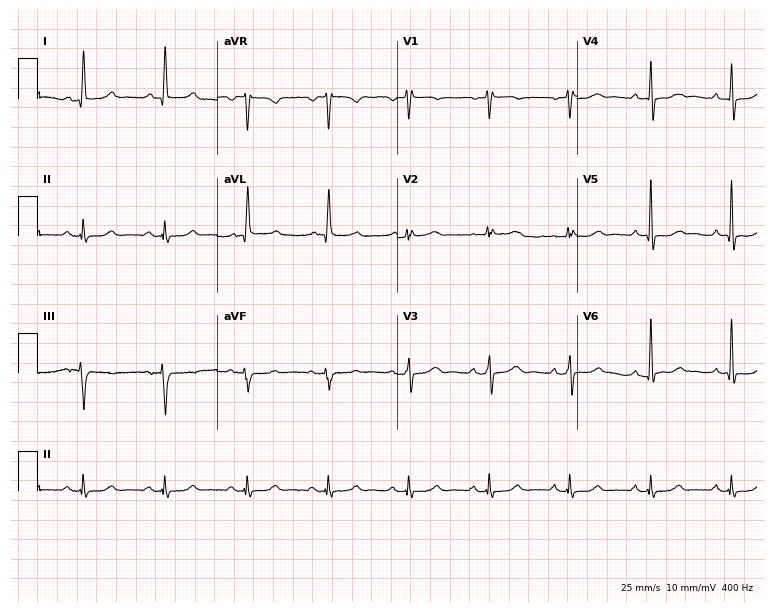
12-lead ECG from a female, 61 years old. Labelled as a normal ECG.